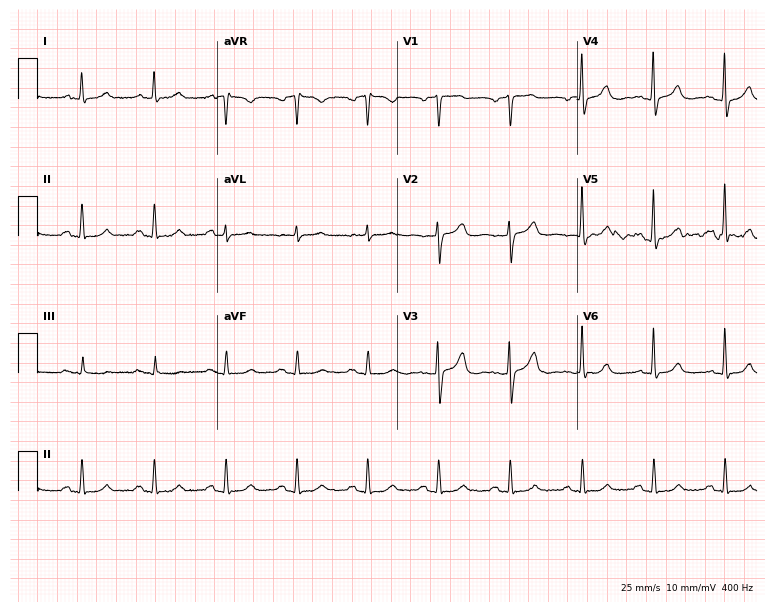
12-lead ECG from a man, 78 years old. Recorded interpretation: within normal limits.